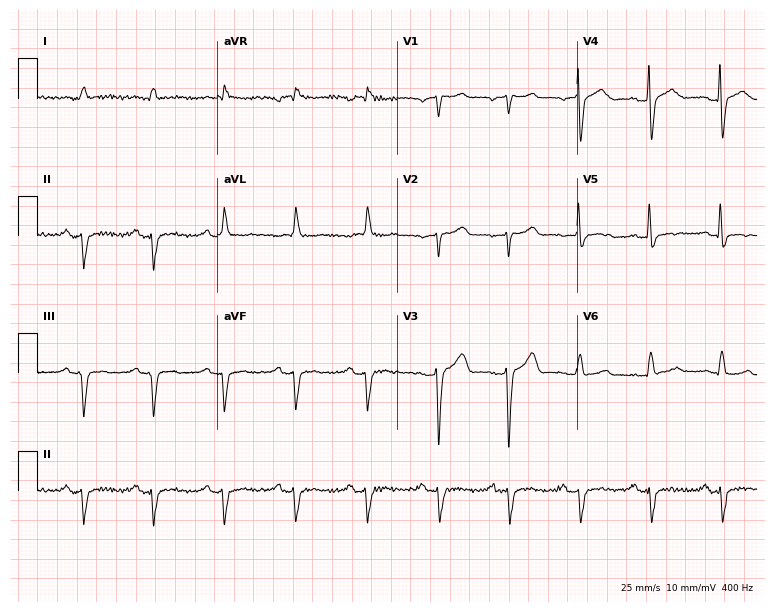
Standard 12-lead ECG recorded from a male patient, 64 years old (7.3-second recording at 400 Hz). None of these six findings is recorded: first-degree AV block, right bundle branch block, left bundle branch block, sinus bradycardia, atrial fibrillation, sinus tachycardia. Other findings, if any, are not listed.